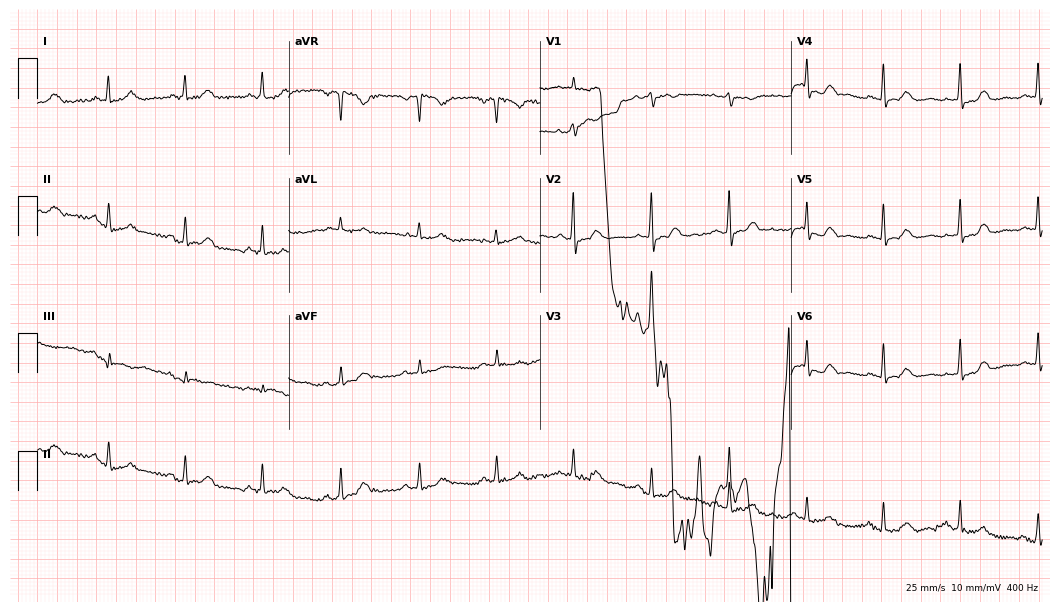
Standard 12-lead ECG recorded from a female, 48 years old (10.2-second recording at 400 Hz). None of these six findings is recorded: first-degree AV block, right bundle branch block (RBBB), left bundle branch block (LBBB), sinus bradycardia, atrial fibrillation (AF), sinus tachycardia.